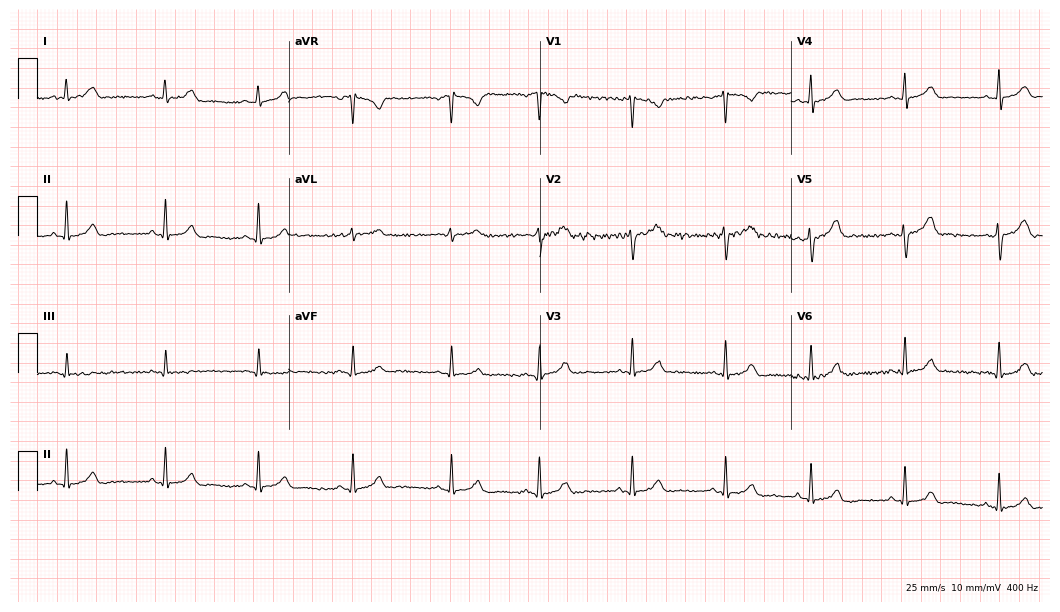
ECG (10.2-second recording at 400 Hz) — a woman, 21 years old. Labelled as a normal ECG.